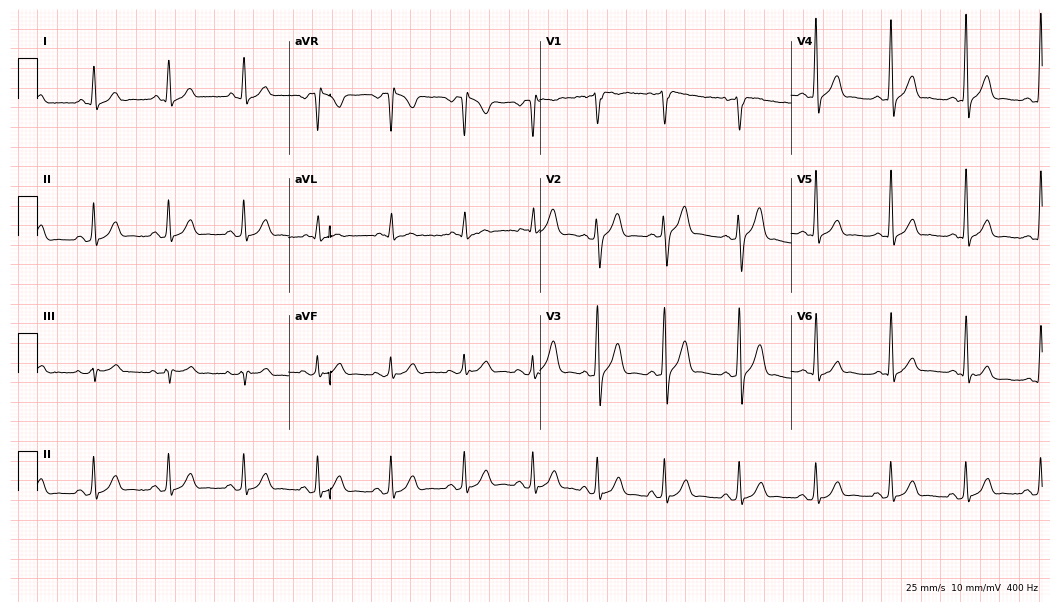
ECG (10.2-second recording at 400 Hz) — a 48-year-old man. Screened for six findings — first-degree AV block, right bundle branch block (RBBB), left bundle branch block (LBBB), sinus bradycardia, atrial fibrillation (AF), sinus tachycardia — none is recorded. Findings outside these six are not listed.